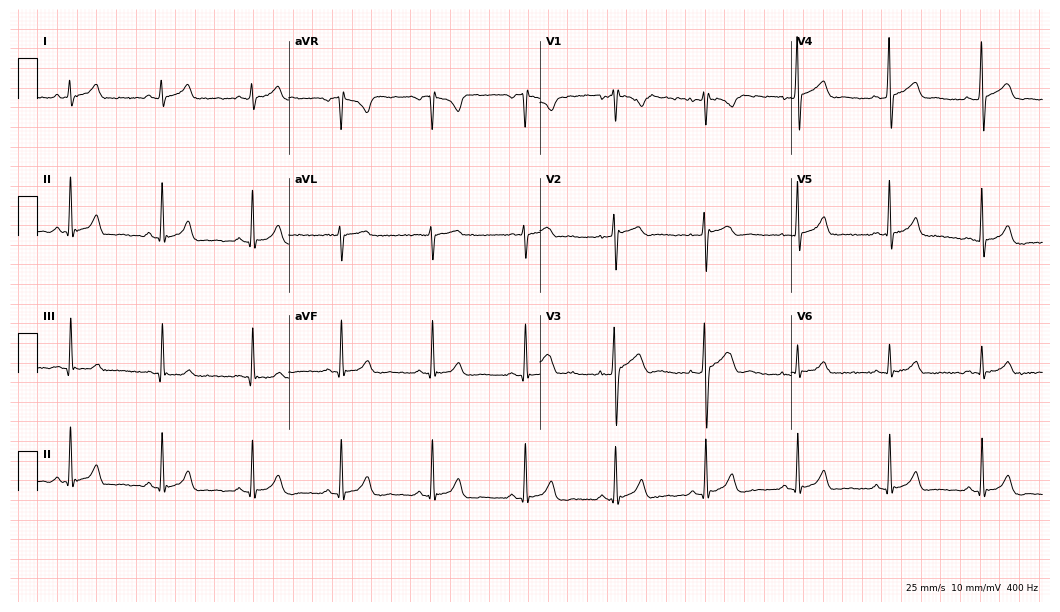
Resting 12-lead electrocardiogram. Patient: a female, 29 years old. Read as a normal ECG.